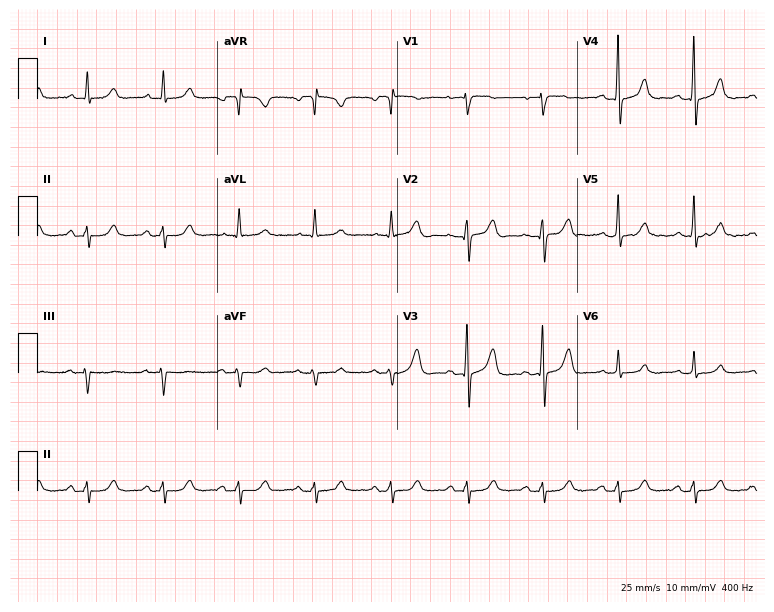
Electrocardiogram (7.3-second recording at 400 Hz), a man, 78 years old. Of the six screened findings (first-degree AV block, right bundle branch block (RBBB), left bundle branch block (LBBB), sinus bradycardia, atrial fibrillation (AF), sinus tachycardia), none is recorded.